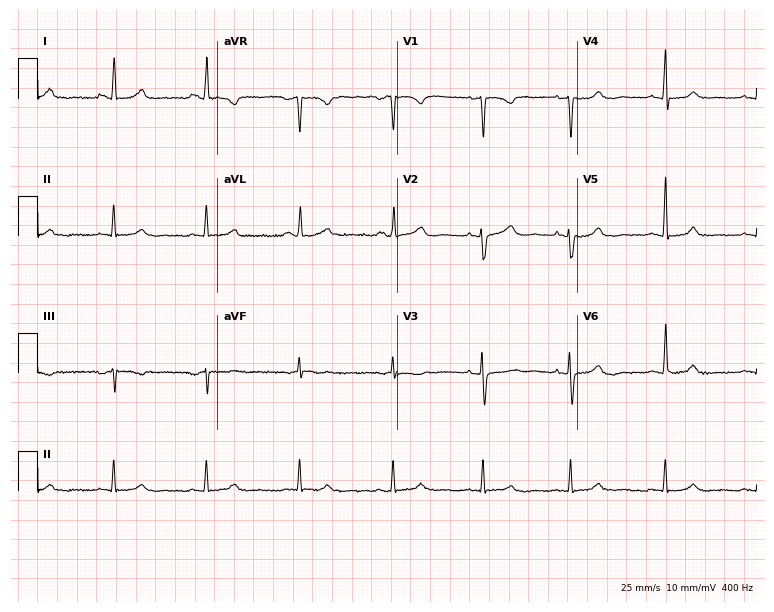
12-lead ECG (7.3-second recording at 400 Hz) from a woman, 52 years old. Screened for six findings — first-degree AV block, right bundle branch block, left bundle branch block, sinus bradycardia, atrial fibrillation, sinus tachycardia — none is recorded.